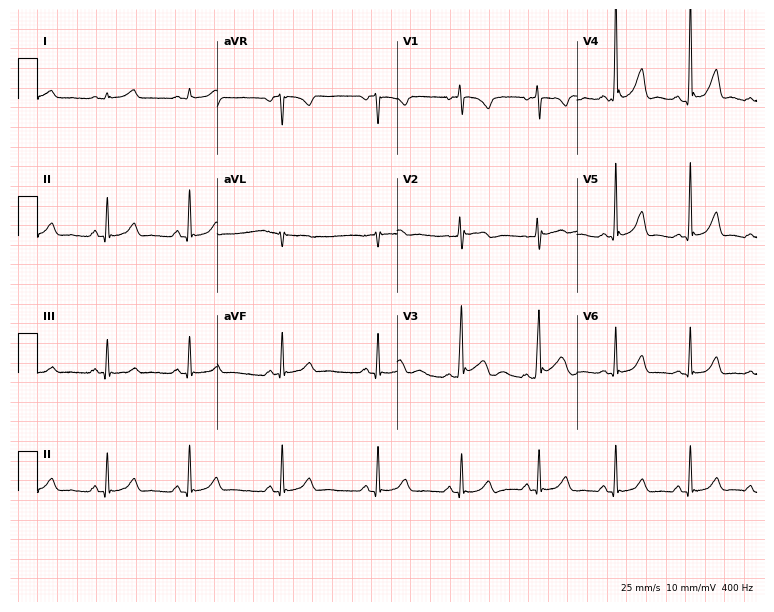
12-lead ECG from a 21-year-old man. Labelled as a normal ECG.